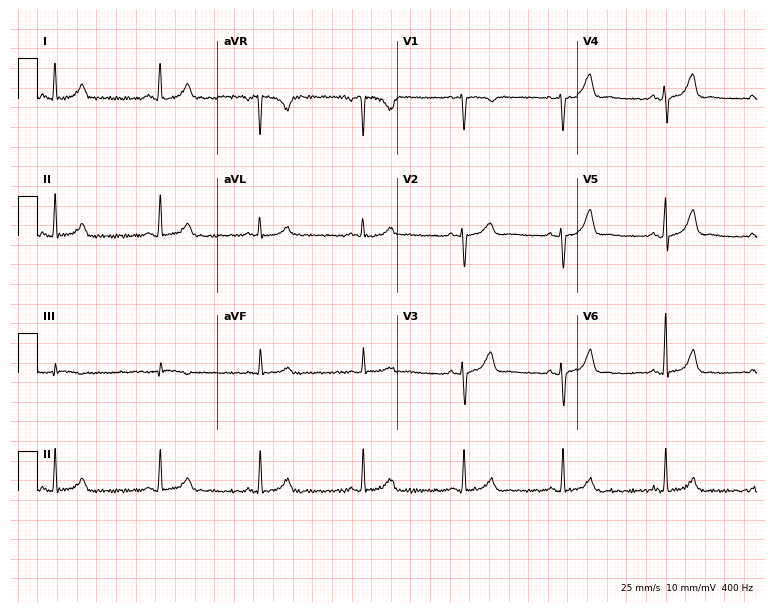
12-lead ECG from a 31-year-old female patient (7.3-second recording at 400 Hz). Recorded interpretation: within normal limits.